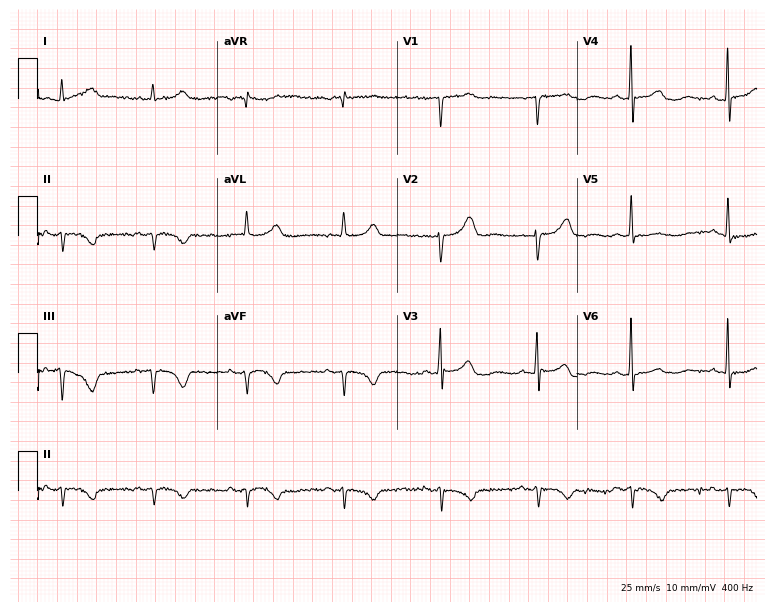
ECG (7.3-second recording at 400 Hz) — a female patient, 80 years old. Screened for six findings — first-degree AV block, right bundle branch block, left bundle branch block, sinus bradycardia, atrial fibrillation, sinus tachycardia — none is recorded.